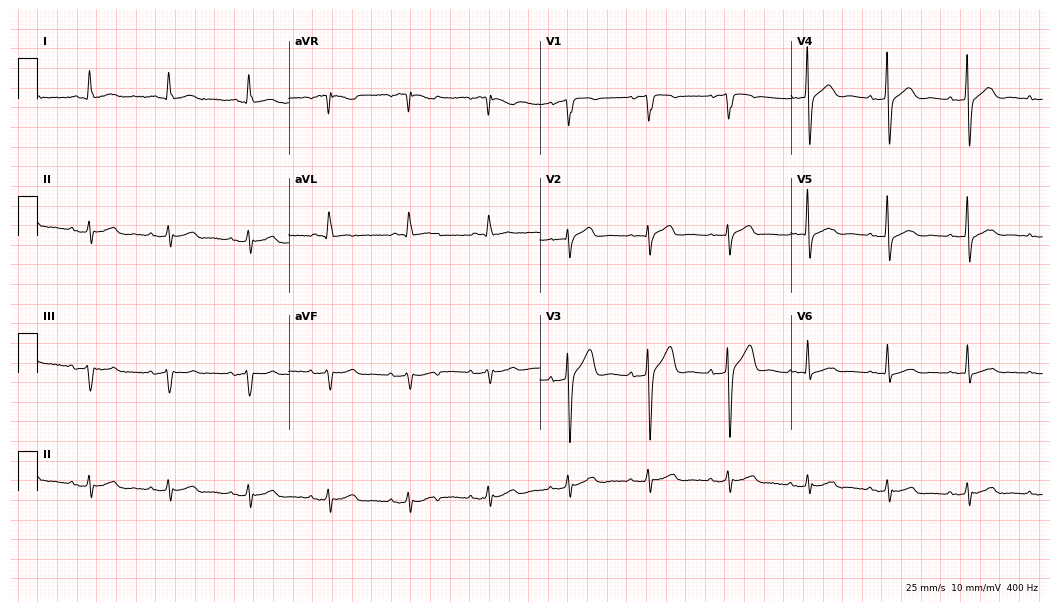
Standard 12-lead ECG recorded from a man, 81 years old (10.2-second recording at 400 Hz). Read as a normal ECG.